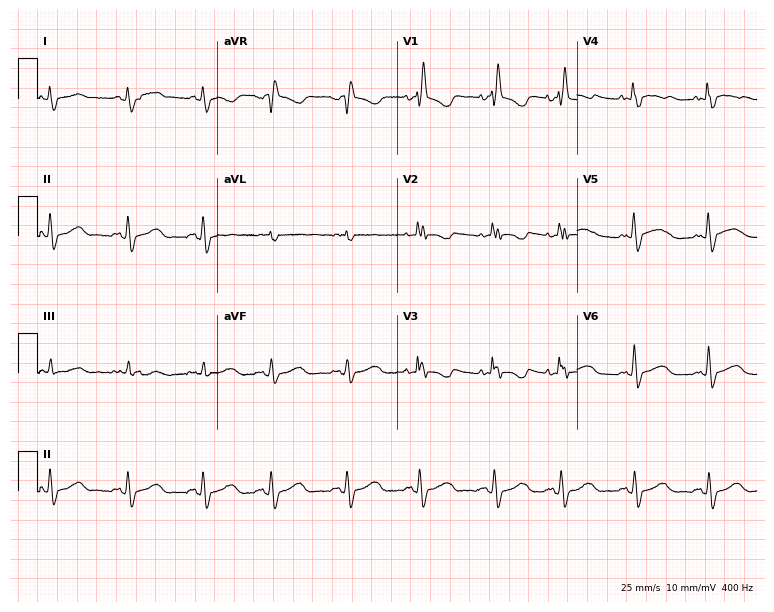
Standard 12-lead ECG recorded from a 69-year-old female patient (7.3-second recording at 400 Hz). The tracing shows right bundle branch block (RBBB).